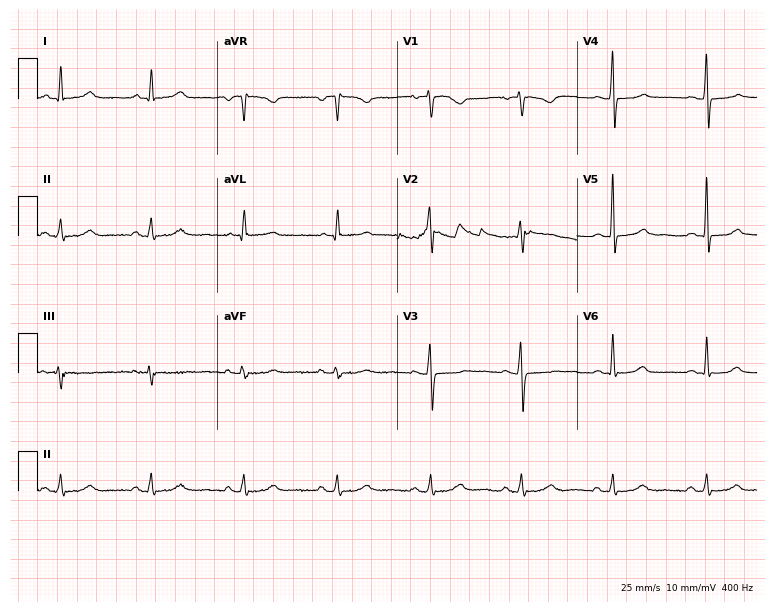
Resting 12-lead electrocardiogram. Patient: a 53-year-old female. Read as a normal ECG.